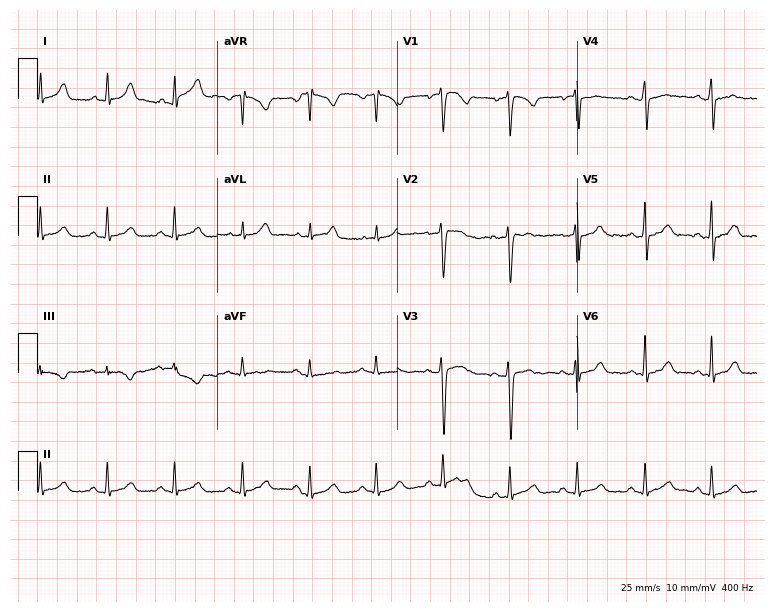
12-lead ECG (7.3-second recording at 400 Hz) from a woman, 23 years old. Labelled as a normal ECG.